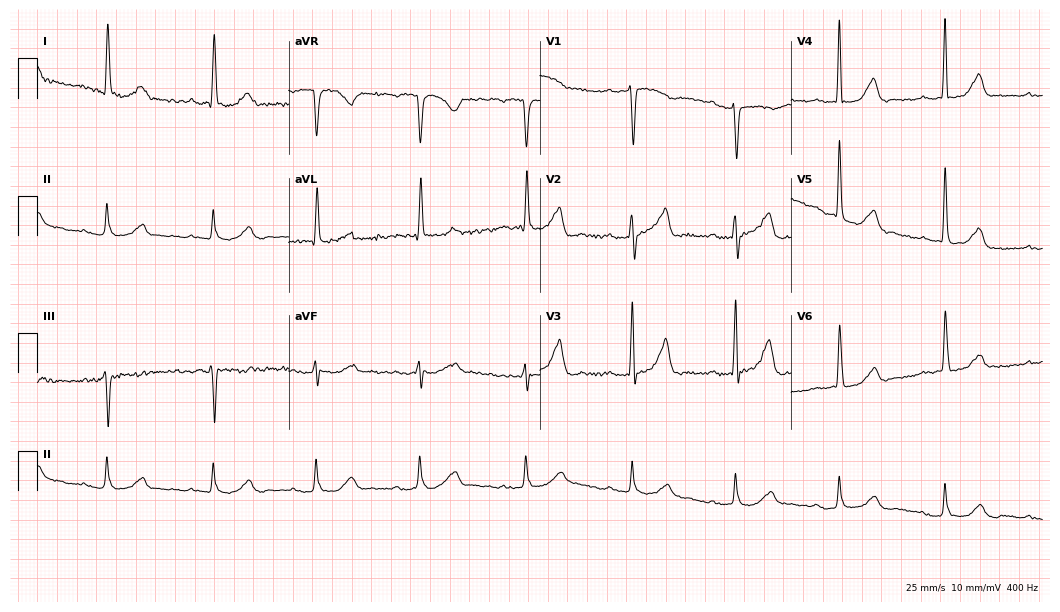
12-lead ECG from an 88-year-old female. Screened for six findings — first-degree AV block, right bundle branch block, left bundle branch block, sinus bradycardia, atrial fibrillation, sinus tachycardia — none is recorded. Other findings, if any, are not listed.